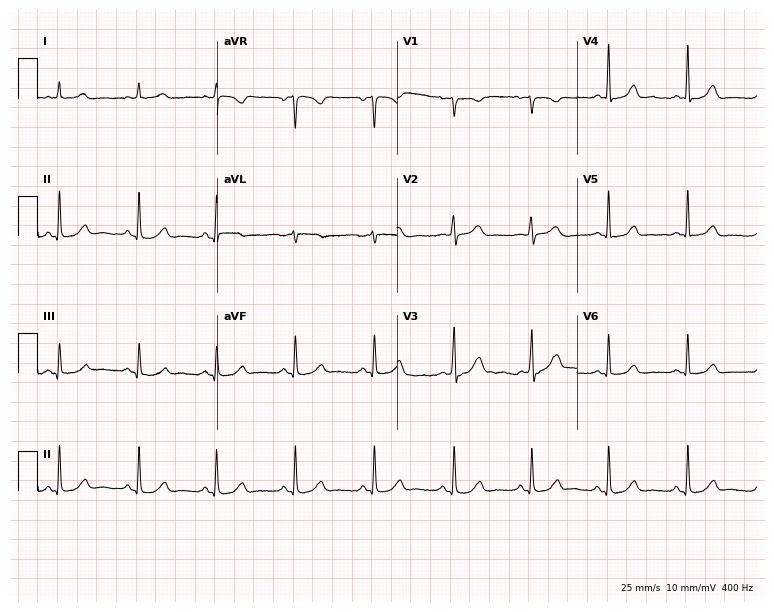
Electrocardiogram (7.3-second recording at 400 Hz), a woman, 38 years old. Overall reading on record: normal ECG.